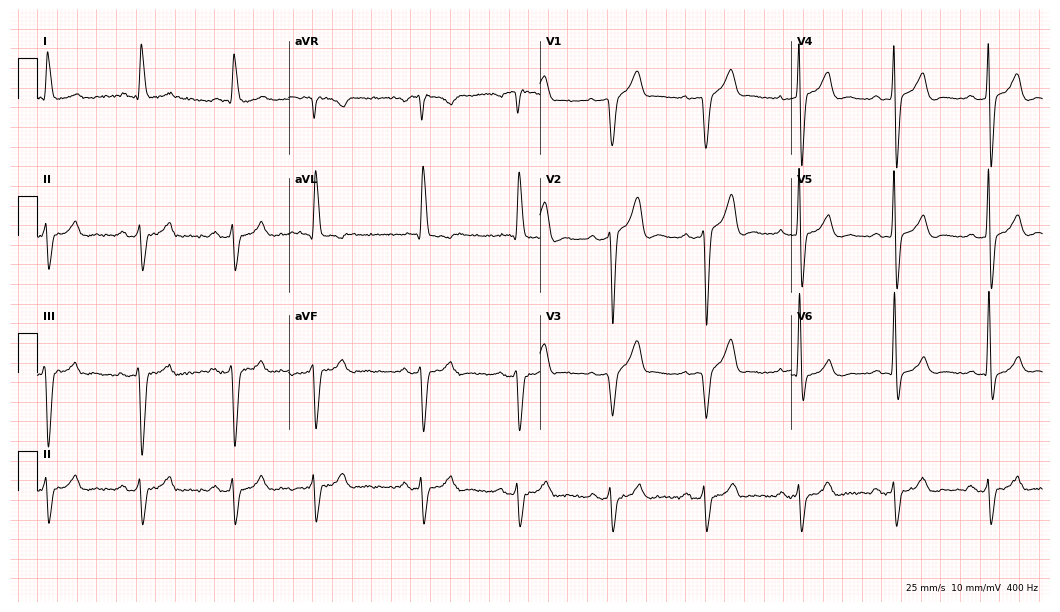
Electrocardiogram (10.2-second recording at 400 Hz), a 62-year-old man. Of the six screened findings (first-degree AV block, right bundle branch block (RBBB), left bundle branch block (LBBB), sinus bradycardia, atrial fibrillation (AF), sinus tachycardia), none is recorded.